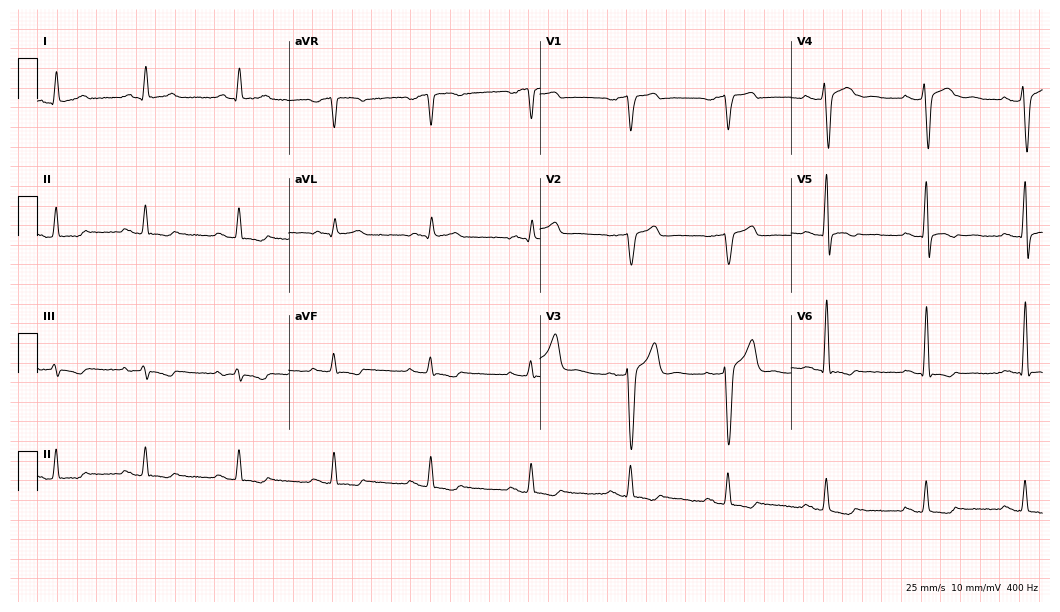
Electrocardiogram (10.2-second recording at 400 Hz), a 50-year-old male patient. Of the six screened findings (first-degree AV block, right bundle branch block, left bundle branch block, sinus bradycardia, atrial fibrillation, sinus tachycardia), none is recorded. Other findings, if any, are not listed.